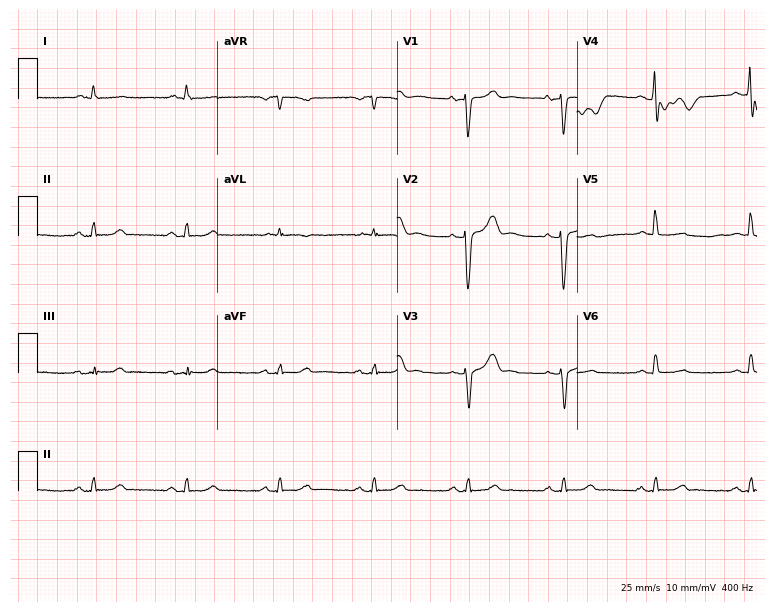
Standard 12-lead ECG recorded from a female, 73 years old (7.3-second recording at 400 Hz). None of these six findings is recorded: first-degree AV block, right bundle branch block (RBBB), left bundle branch block (LBBB), sinus bradycardia, atrial fibrillation (AF), sinus tachycardia.